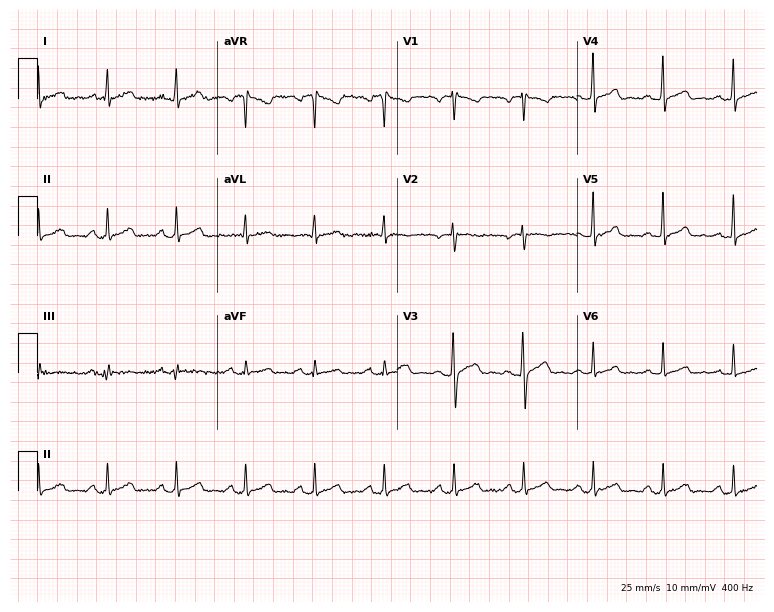
Resting 12-lead electrocardiogram (7.3-second recording at 400 Hz). Patient: a 50-year-old male. Read as a normal ECG.